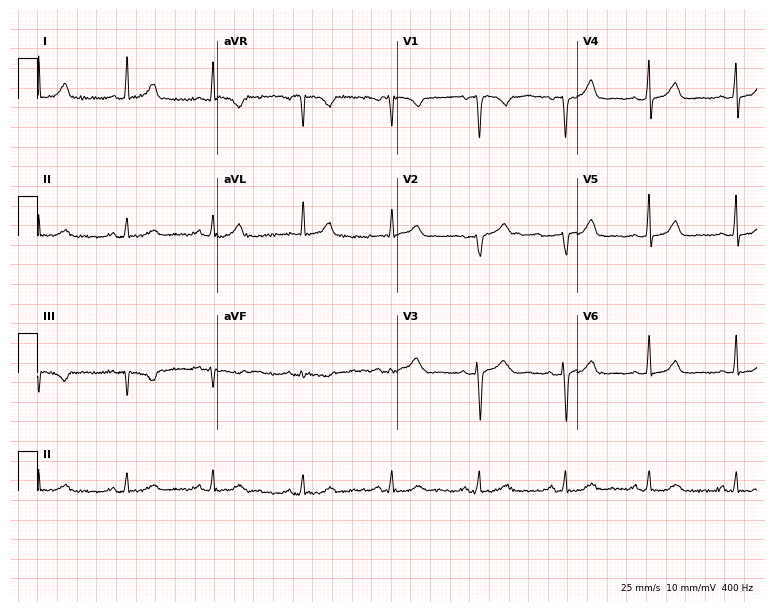
12-lead ECG from a woman, 48 years old. No first-degree AV block, right bundle branch block (RBBB), left bundle branch block (LBBB), sinus bradycardia, atrial fibrillation (AF) or sinus tachycardia recorded for this tracing.